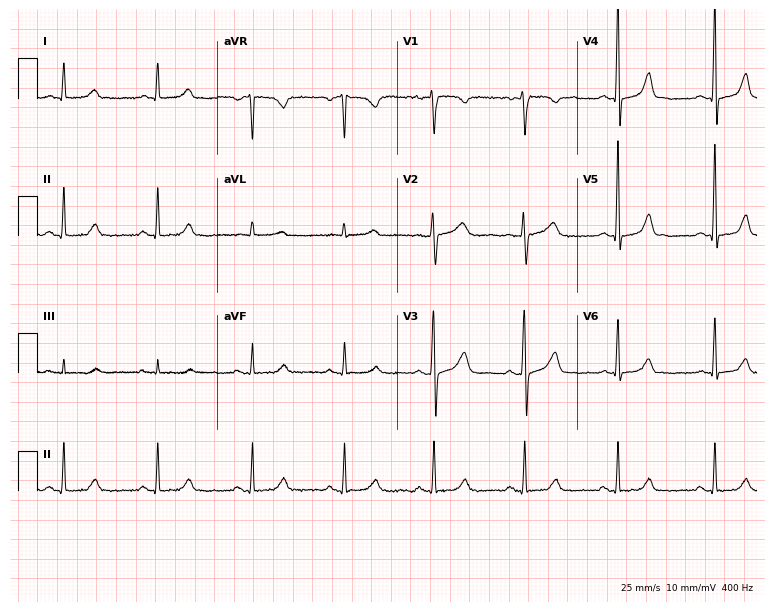
Electrocardiogram, a woman, 42 years old. Overall reading on record: normal ECG.